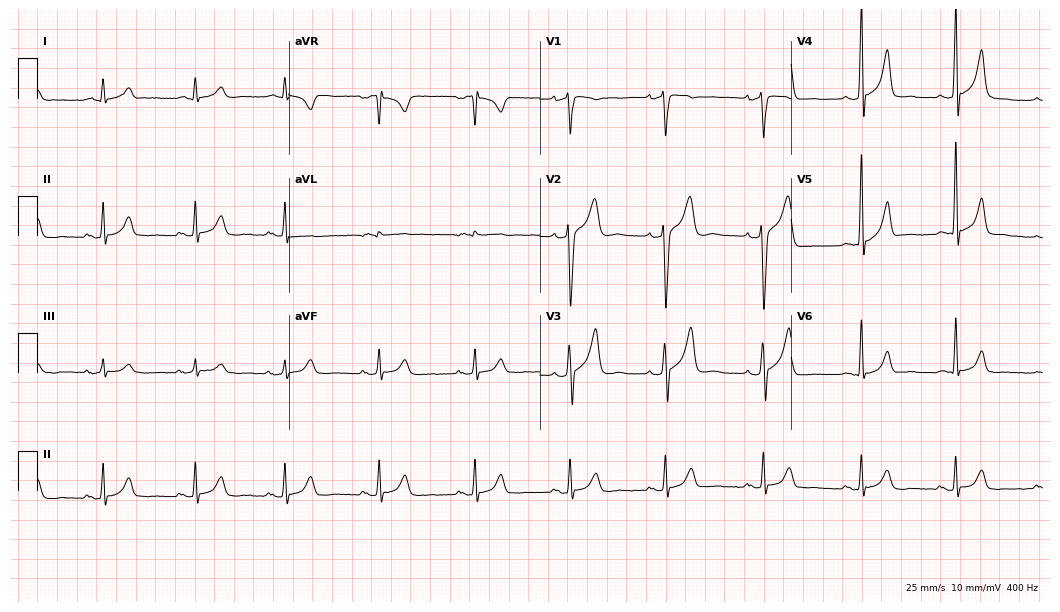
12-lead ECG from a 55-year-old male patient (10.2-second recording at 400 Hz). No first-degree AV block, right bundle branch block (RBBB), left bundle branch block (LBBB), sinus bradycardia, atrial fibrillation (AF) or sinus tachycardia recorded for this tracing. Findings outside these six are not listed.